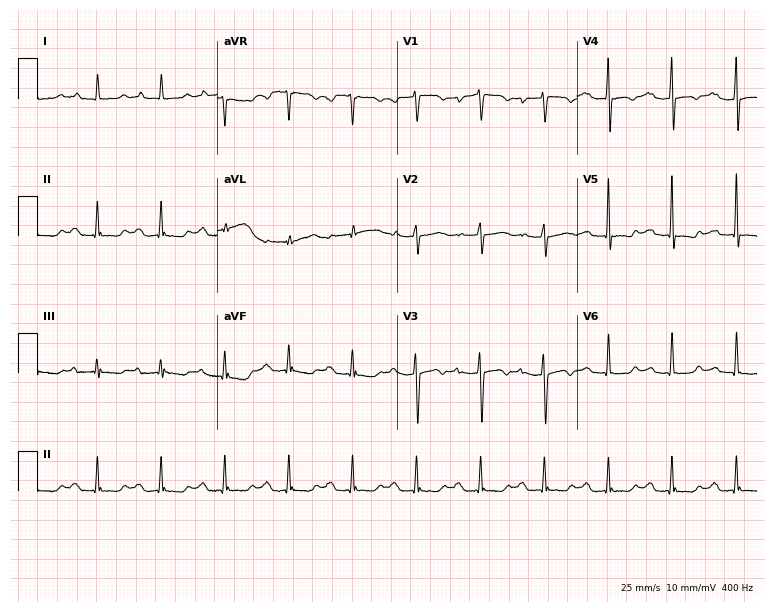
Resting 12-lead electrocardiogram. Patient: an 81-year-old female. The tracing shows first-degree AV block.